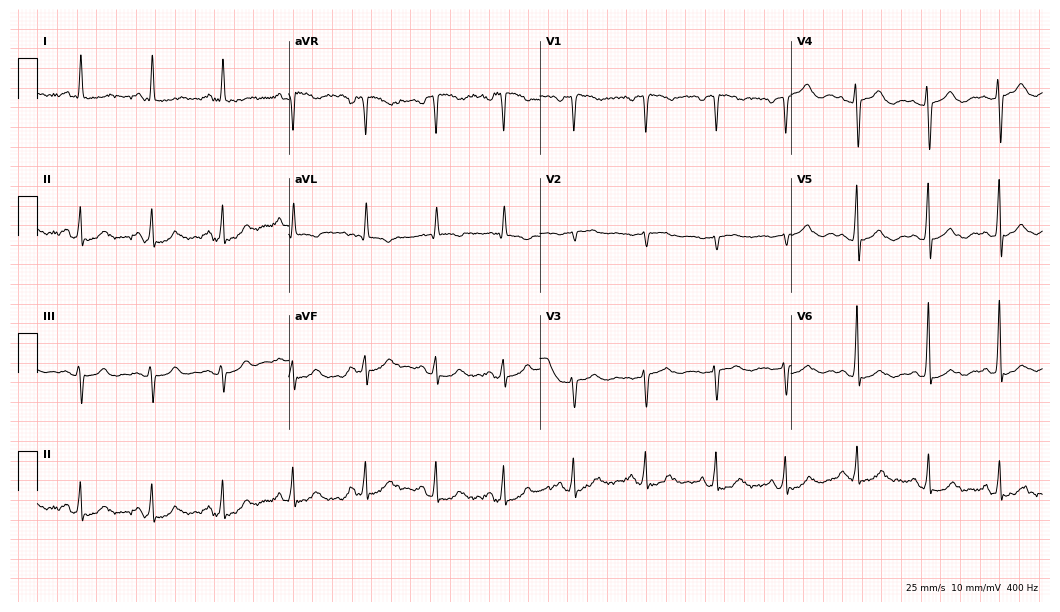
Electrocardiogram (10.2-second recording at 400 Hz), a female patient, 57 years old. Of the six screened findings (first-degree AV block, right bundle branch block, left bundle branch block, sinus bradycardia, atrial fibrillation, sinus tachycardia), none is recorded. Other findings, if any, are not listed.